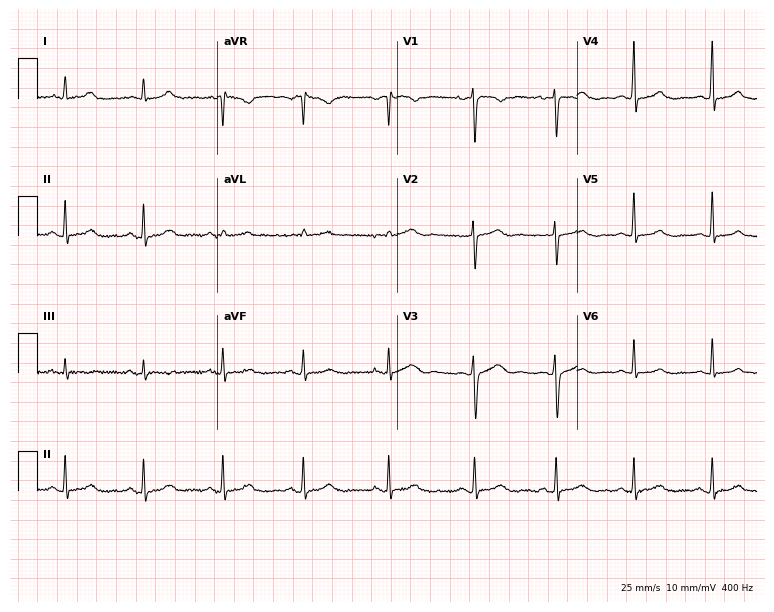
Resting 12-lead electrocardiogram (7.3-second recording at 400 Hz). Patient: a woman, 45 years old. Read as a normal ECG.